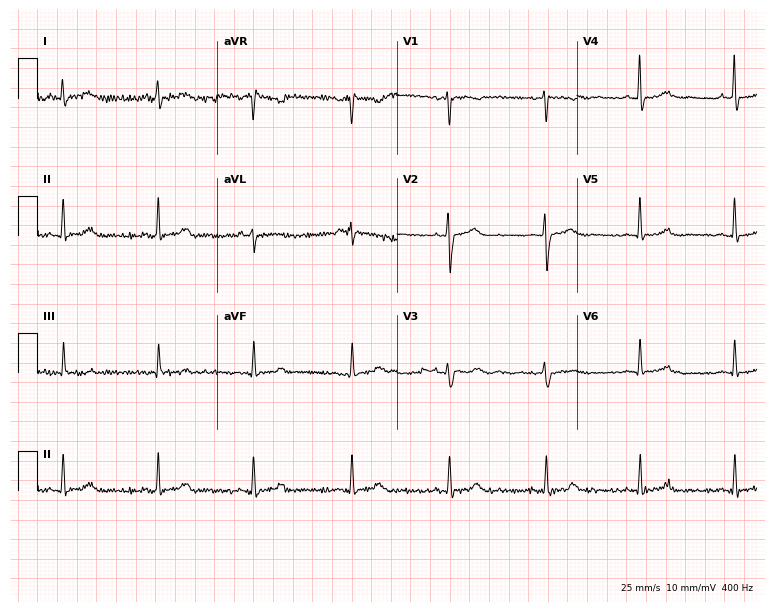
Electrocardiogram (7.3-second recording at 400 Hz), a 48-year-old female. Overall reading on record: normal ECG.